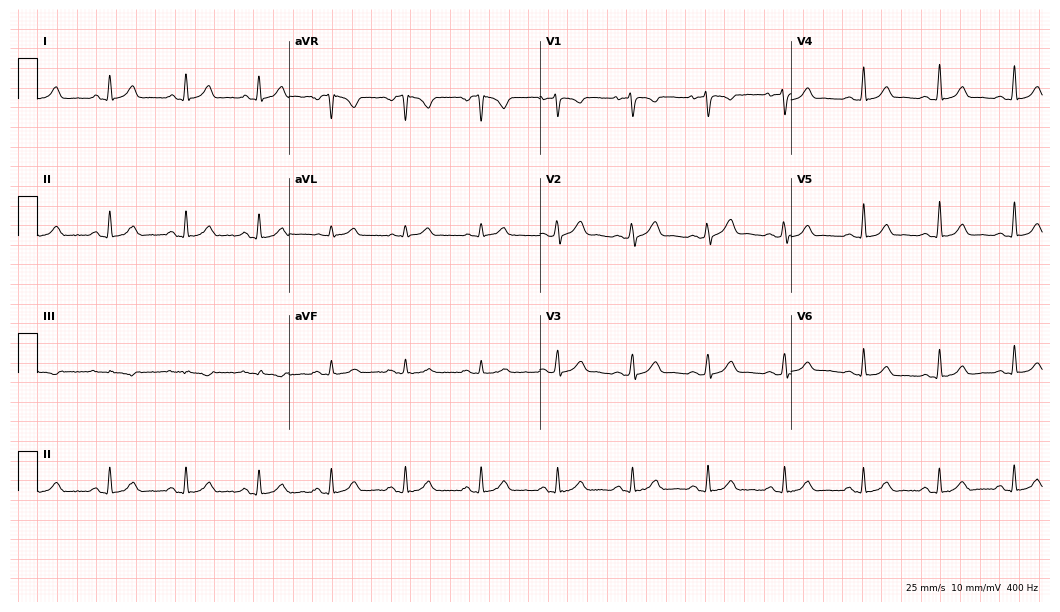
Resting 12-lead electrocardiogram. Patient: a woman, 32 years old. Read as a normal ECG.